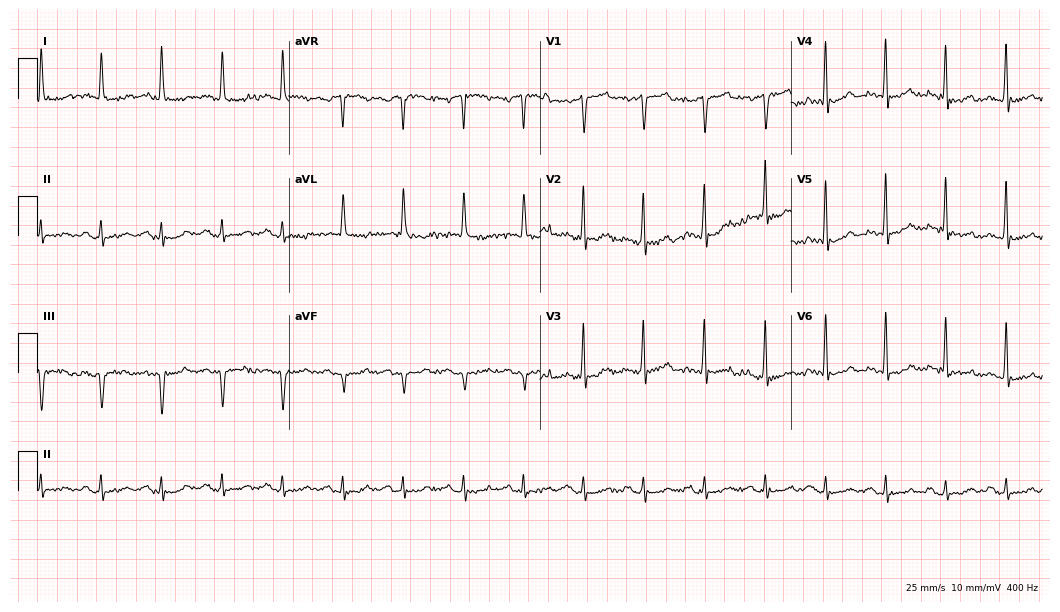
12-lead ECG (10.2-second recording at 400 Hz) from an 85-year-old male patient. Screened for six findings — first-degree AV block, right bundle branch block, left bundle branch block, sinus bradycardia, atrial fibrillation, sinus tachycardia — none is recorded.